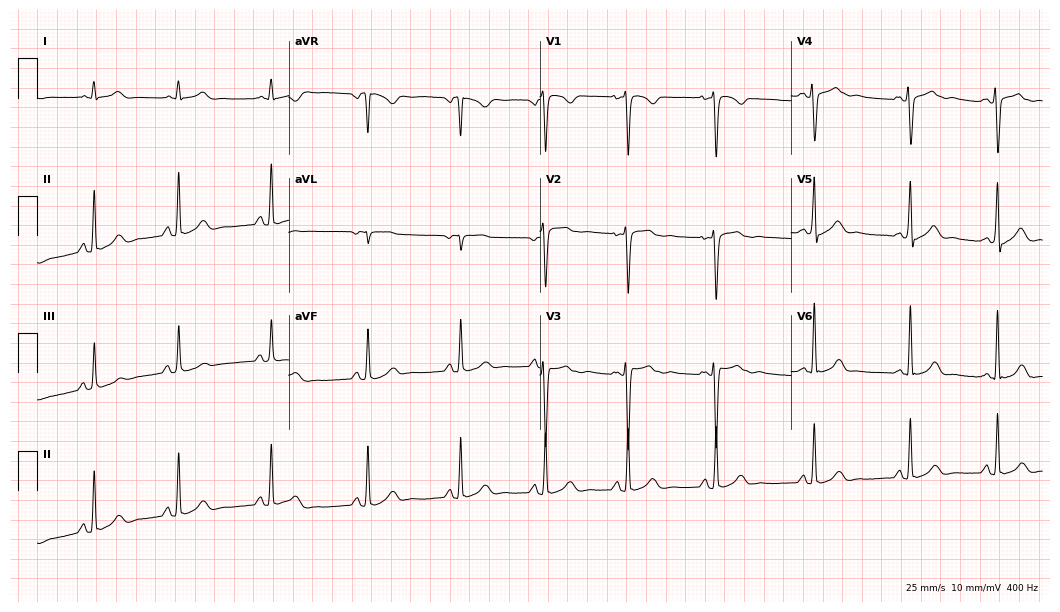
12-lead ECG from a woman, 24 years old. Labelled as a normal ECG.